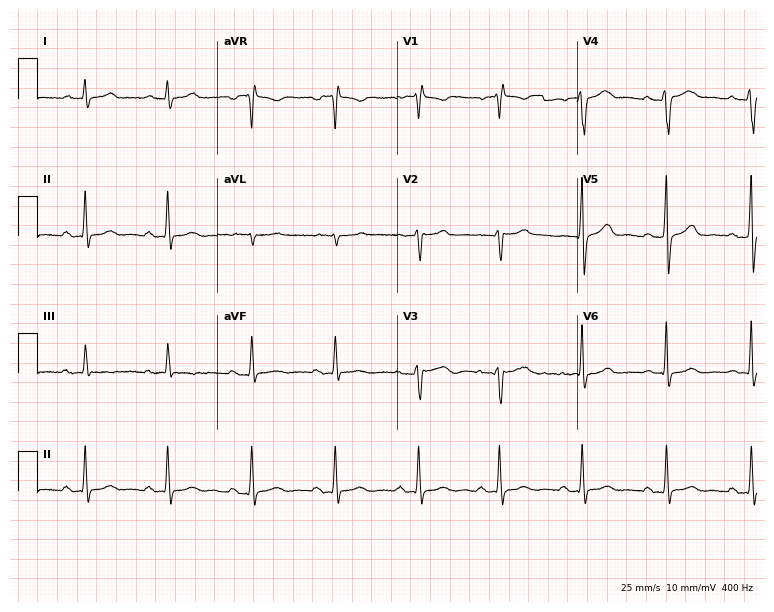
Standard 12-lead ECG recorded from a 56-year-old woman. None of these six findings is recorded: first-degree AV block, right bundle branch block, left bundle branch block, sinus bradycardia, atrial fibrillation, sinus tachycardia.